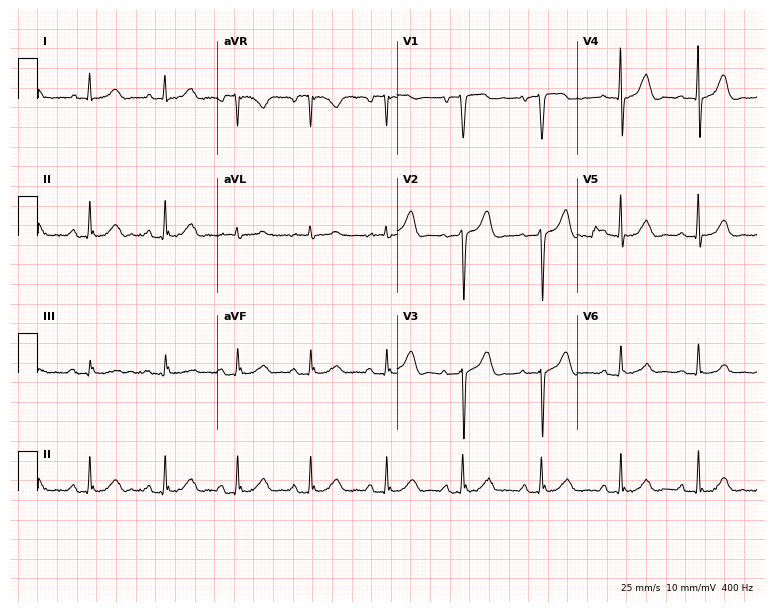
Electrocardiogram, a female patient, 73 years old. Overall reading on record: normal ECG.